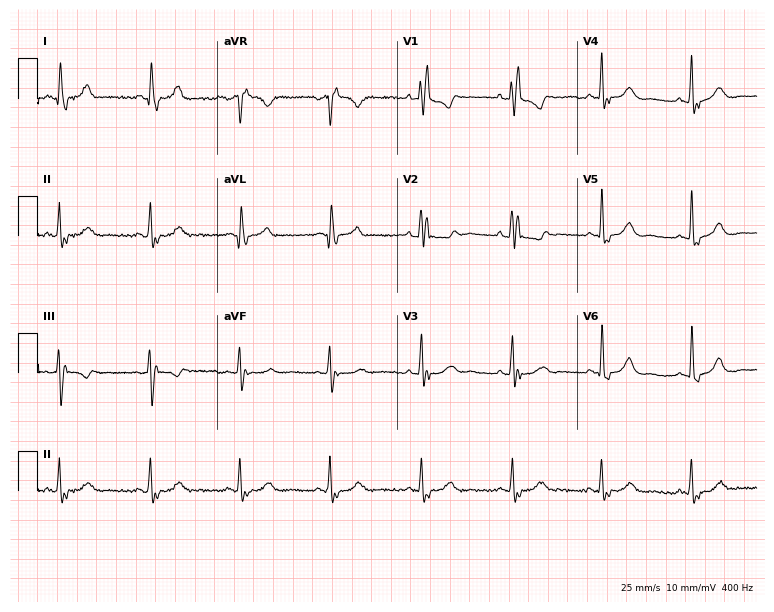
Standard 12-lead ECG recorded from a woman, 72 years old (7.3-second recording at 400 Hz). The tracing shows right bundle branch block.